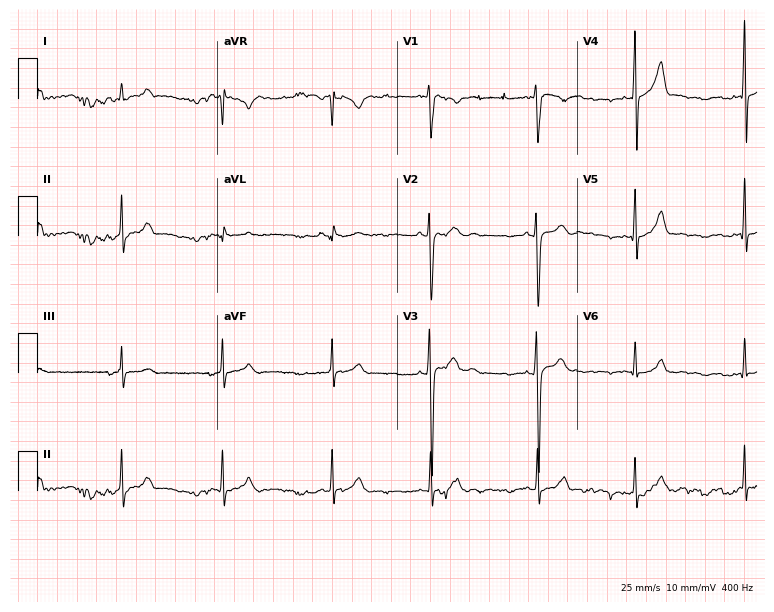
ECG (7.3-second recording at 400 Hz) — a 17-year-old man. Labelled as a normal ECG.